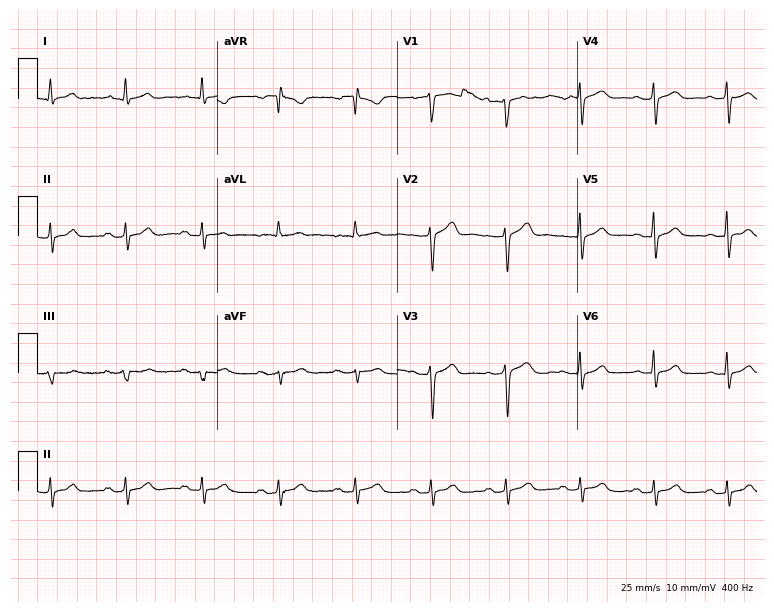
Standard 12-lead ECG recorded from a 52-year-old man (7.3-second recording at 400 Hz). Read as a normal ECG.